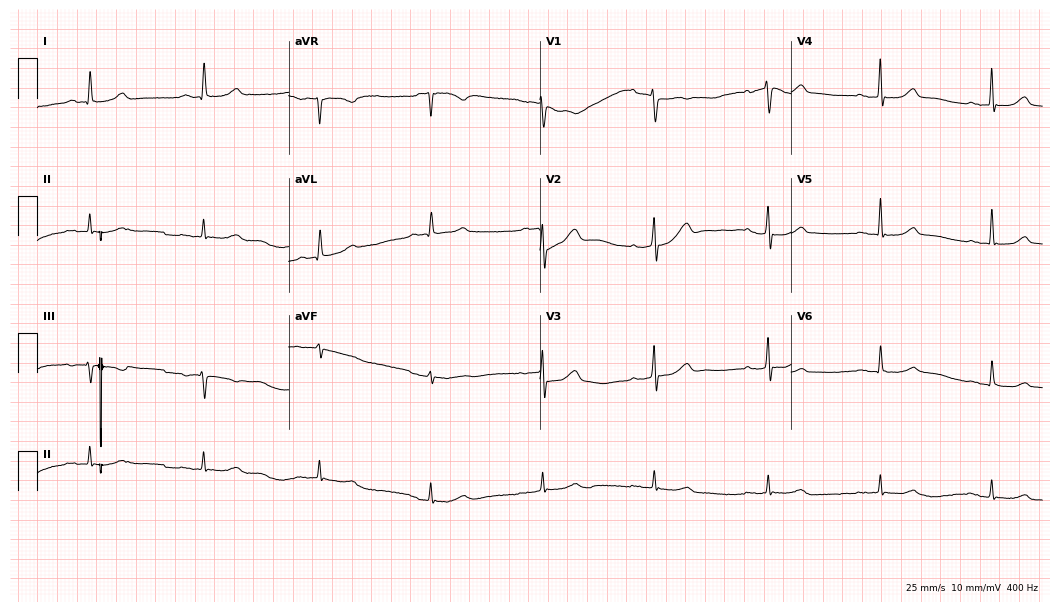
12-lead ECG from a female, 63 years old (10.2-second recording at 400 Hz). Recorded interpretation: within normal limits.